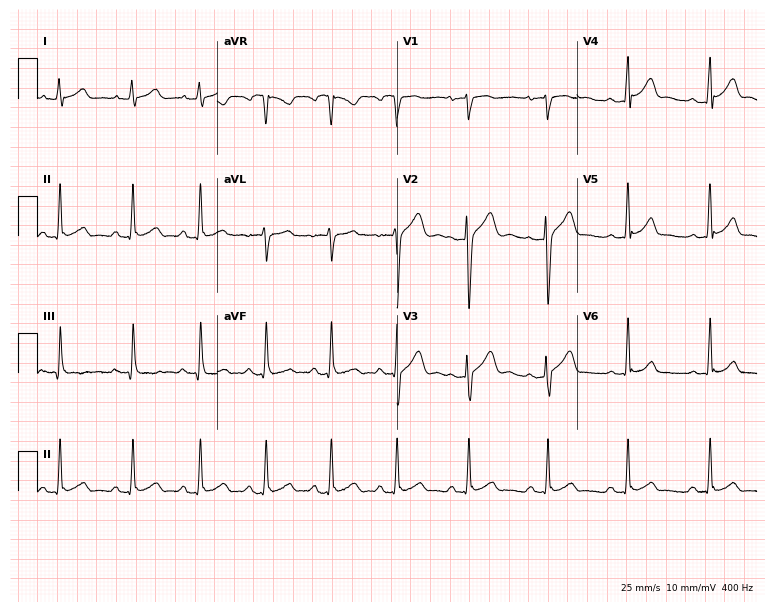
12-lead ECG from a 24-year-old male (7.3-second recording at 400 Hz). Recorded interpretation: within normal limits.